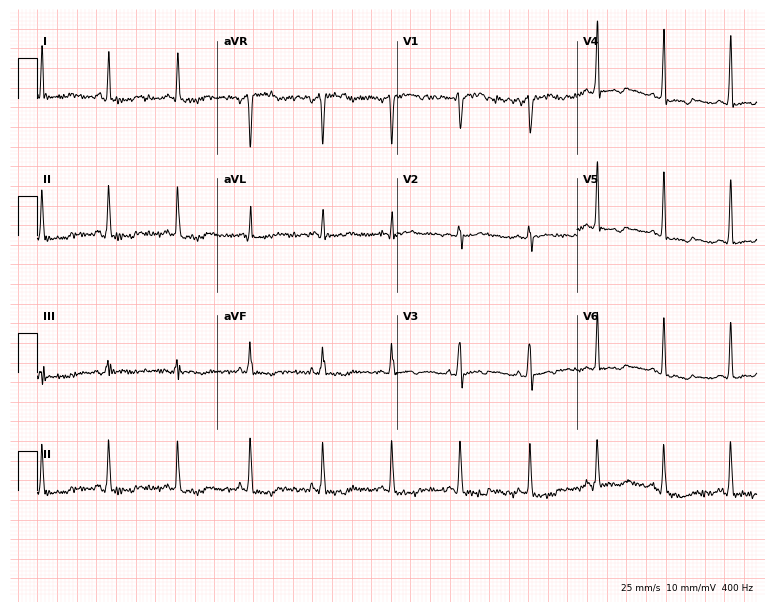
12-lead ECG from a 50-year-old female (7.3-second recording at 400 Hz). No first-degree AV block, right bundle branch block (RBBB), left bundle branch block (LBBB), sinus bradycardia, atrial fibrillation (AF) or sinus tachycardia recorded for this tracing.